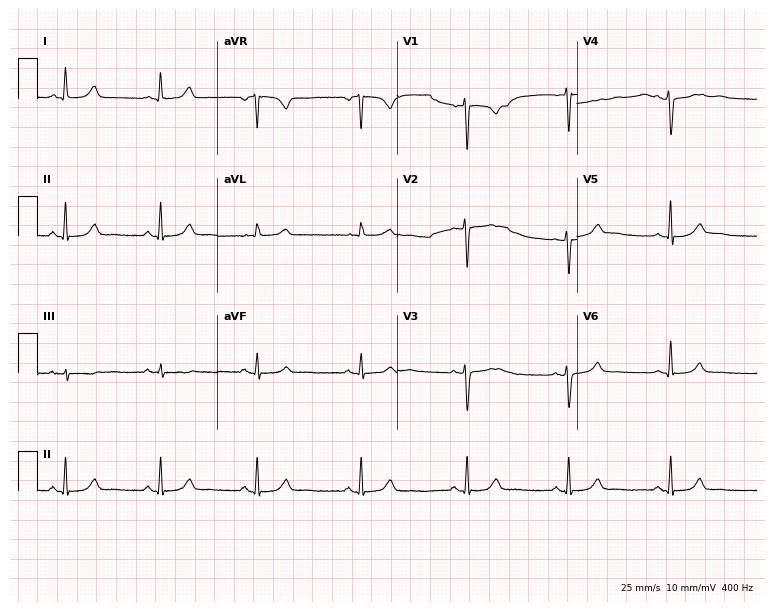
Standard 12-lead ECG recorded from a woman, 34 years old. None of these six findings is recorded: first-degree AV block, right bundle branch block, left bundle branch block, sinus bradycardia, atrial fibrillation, sinus tachycardia. Only these six findings were labelled.